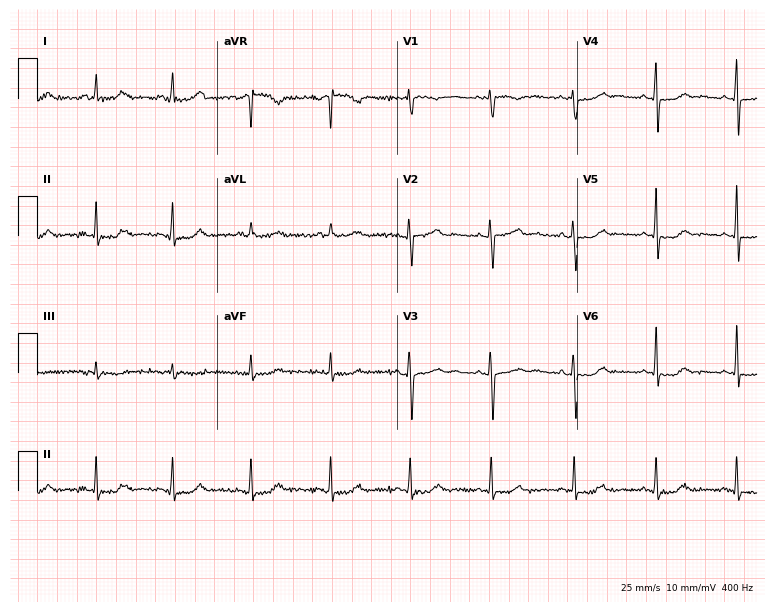
12-lead ECG (7.3-second recording at 400 Hz) from a woman, 48 years old. Screened for six findings — first-degree AV block, right bundle branch block, left bundle branch block, sinus bradycardia, atrial fibrillation, sinus tachycardia — none is recorded. Only these six findings were labelled.